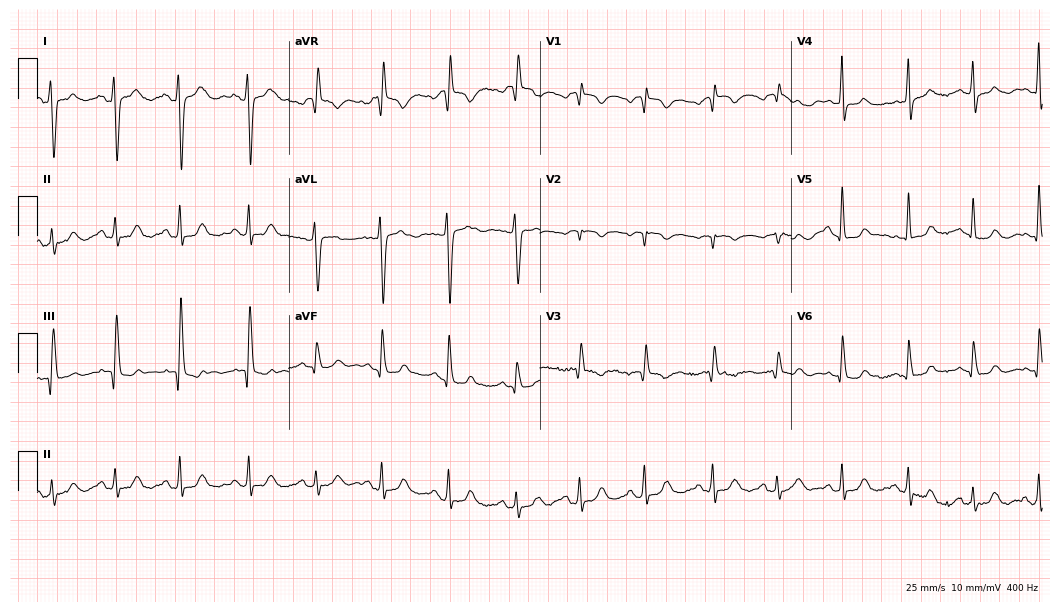
Standard 12-lead ECG recorded from a 59-year-old woman (10.2-second recording at 400 Hz). None of these six findings is recorded: first-degree AV block, right bundle branch block, left bundle branch block, sinus bradycardia, atrial fibrillation, sinus tachycardia. Only these six findings were labelled.